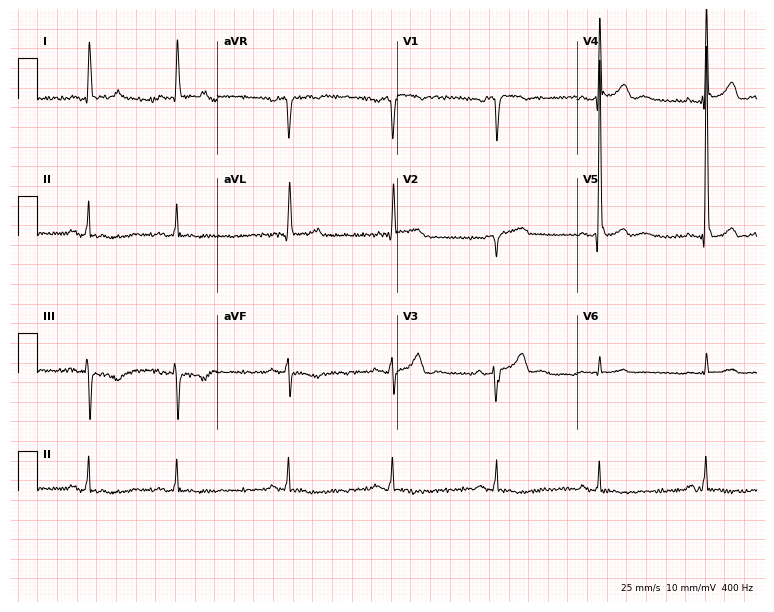
Resting 12-lead electrocardiogram (7.3-second recording at 400 Hz). Patient: a 78-year-old male. None of these six findings is recorded: first-degree AV block, right bundle branch block, left bundle branch block, sinus bradycardia, atrial fibrillation, sinus tachycardia.